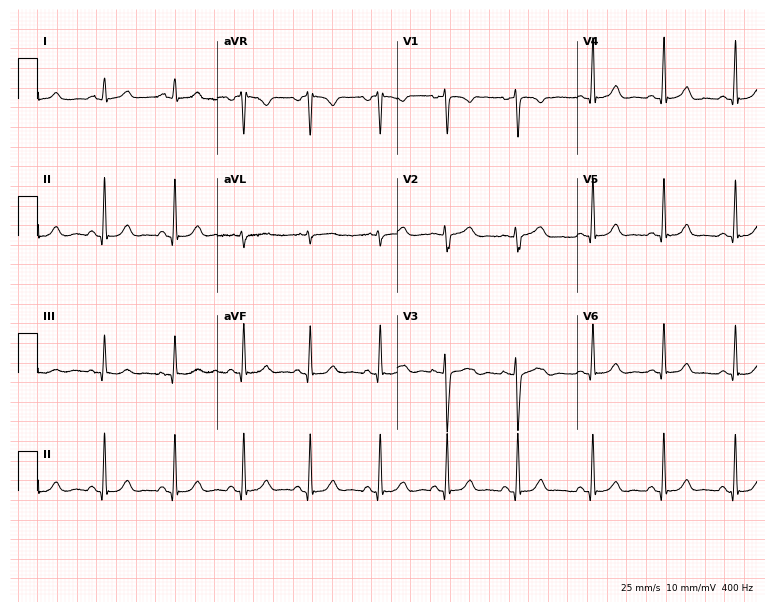
Standard 12-lead ECG recorded from a female patient, 27 years old (7.3-second recording at 400 Hz). None of these six findings is recorded: first-degree AV block, right bundle branch block (RBBB), left bundle branch block (LBBB), sinus bradycardia, atrial fibrillation (AF), sinus tachycardia. Only these six findings were labelled.